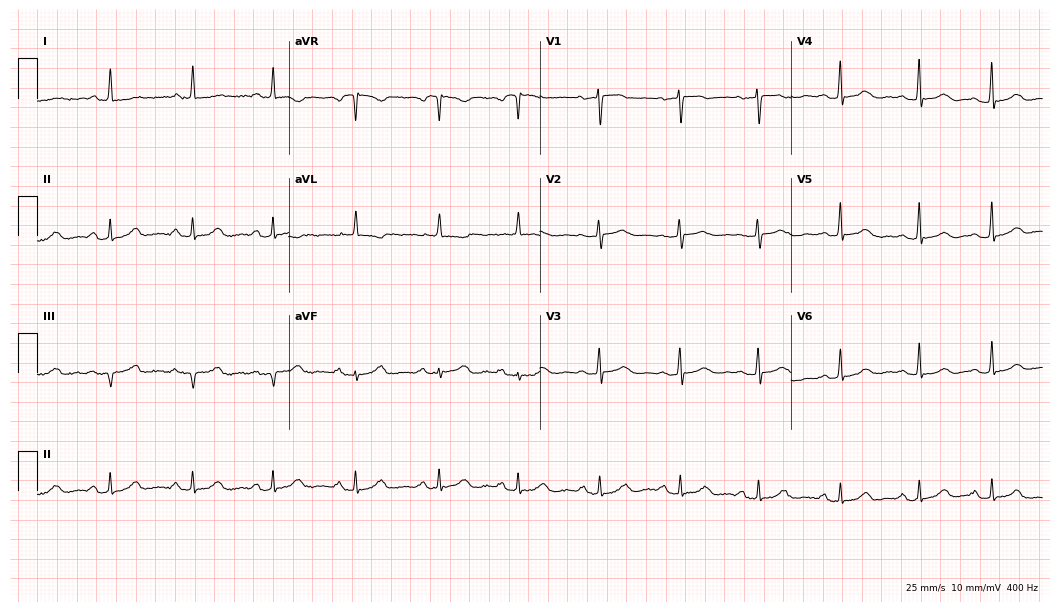
12-lead ECG from a 45-year-old woman. Labelled as a normal ECG.